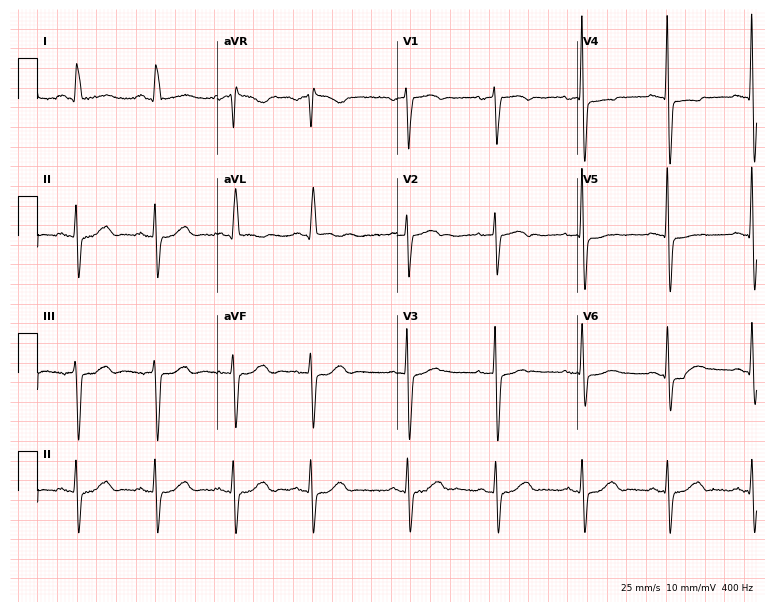
Standard 12-lead ECG recorded from a female patient, 67 years old. None of these six findings is recorded: first-degree AV block, right bundle branch block (RBBB), left bundle branch block (LBBB), sinus bradycardia, atrial fibrillation (AF), sinus tachycardia. Other findings, if any, are not listed.